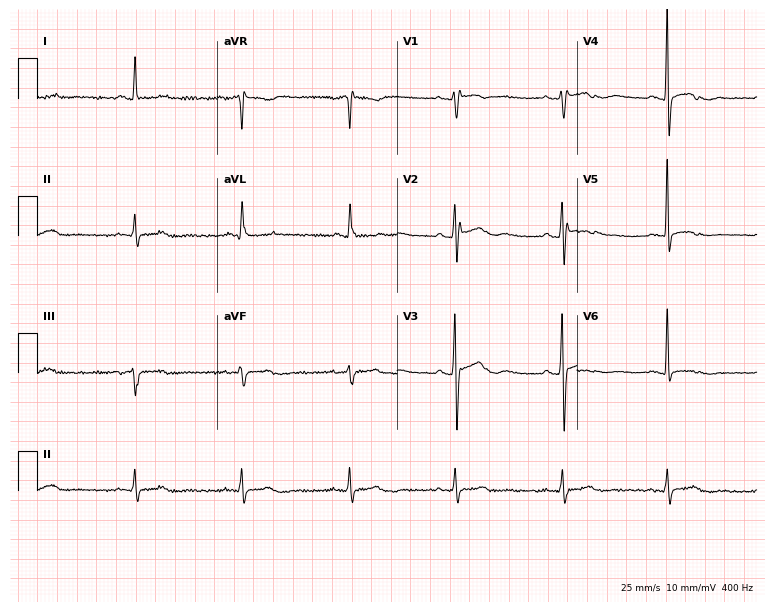
Standard 12-lead ECG recorded from a female, 62 years old. None of these six findings is recorded: first-degree AV block, right bundle branch block (RBBB), left bundle branch block (LBBB), sinus bradycardia, atrial fibrillation (AF), sinus tachycardia.